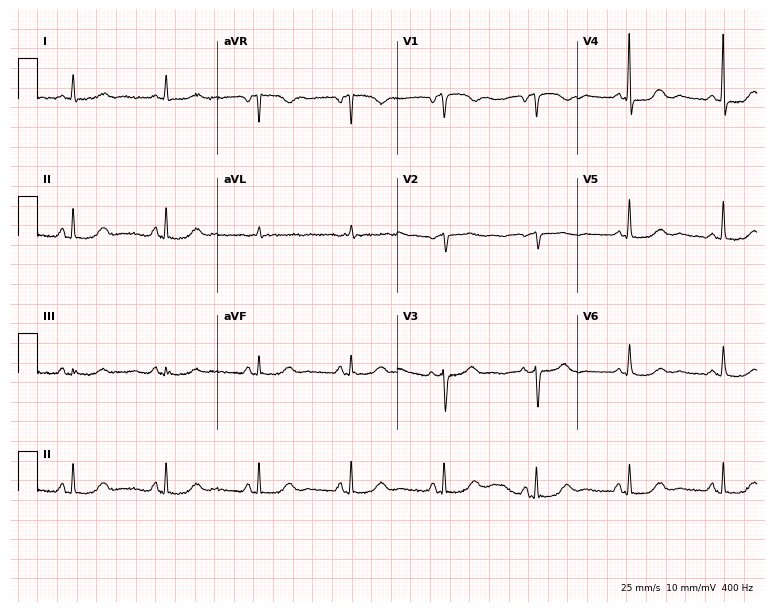
Electrocardiogram (7.3-second recording at 400 Hz), a woman, 85 years old. Overall reading on record: normal ECG.